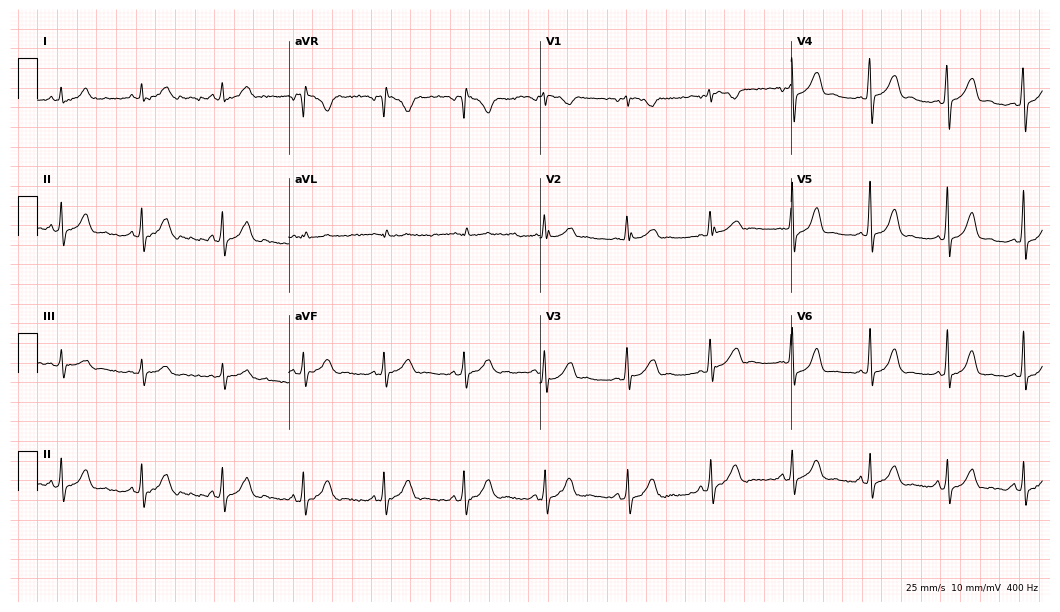
Resting 12-lead electrocardiogram (10.2-second recording at 400 Hz). Patient: a 26-year-old female. None of these six findings is recorded: first-degree AV block, right bundle branch block, left bundle branch block, sinus bradycardia, atrial fibrillation, sinus tachycardia.